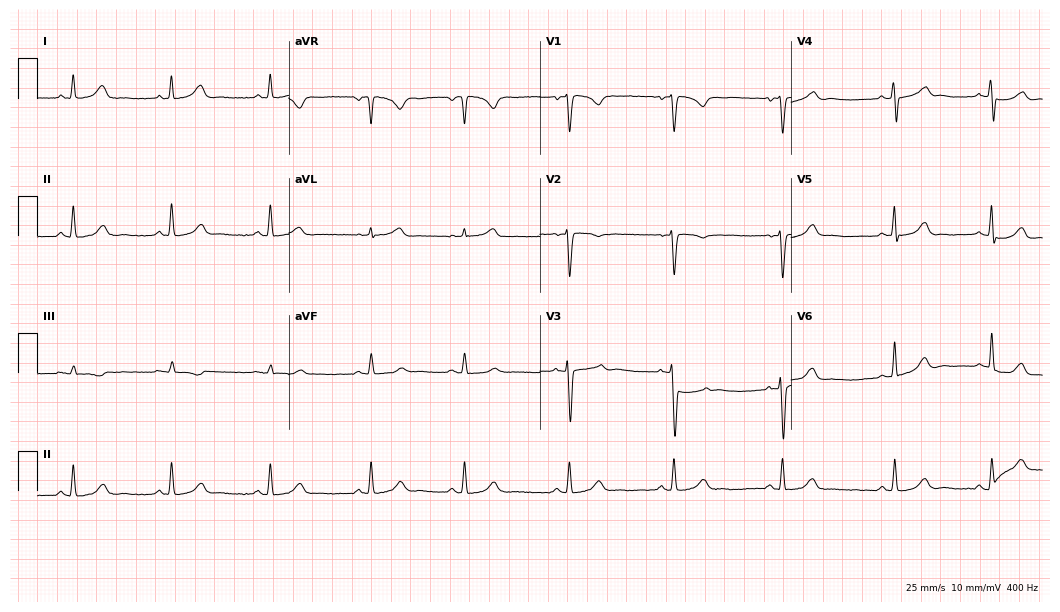
12-lead ECG (10.2-second recording at 400 Hz) from a female patient, 30 years old. Labelled as a normal ECG.